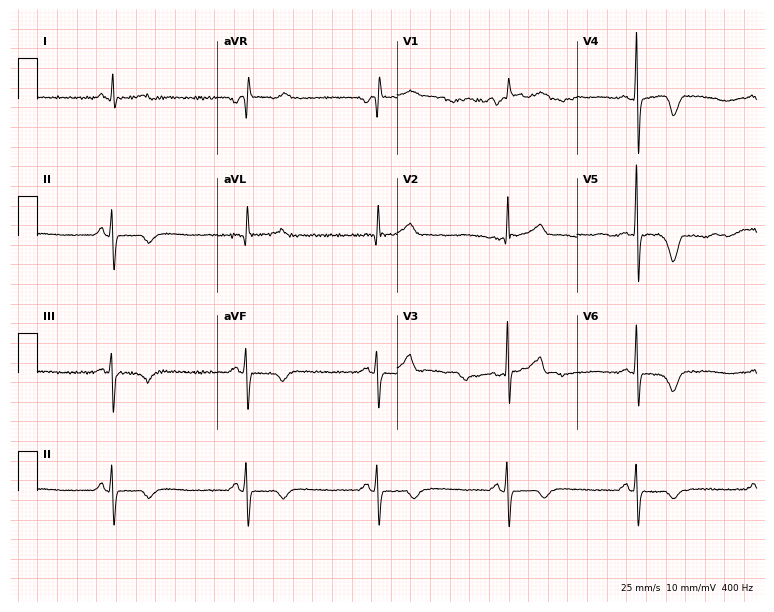
ECG — a 63-year-old male patient. Findings include sinus bradycardia (a sinus rate of 50 beats per minute or less).